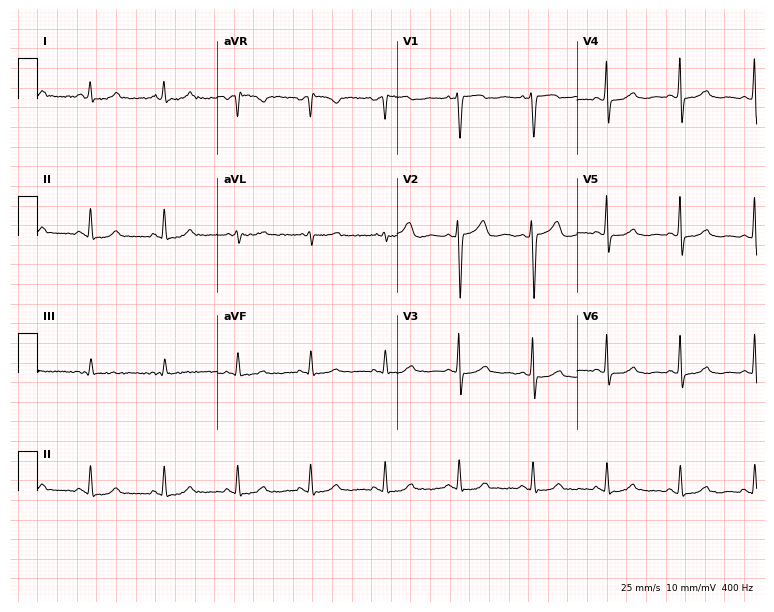
Electrocardiogram (7.3-second recording at 400 Hz), a 52-year-old woman. Of the six screened findings (first-degree AV block, right bundle branch block, left bundle branch block, sinus bradycardia, atrial fibrillation, sinus tachycardia), none is recorded. Other findings, if any, are not listed.